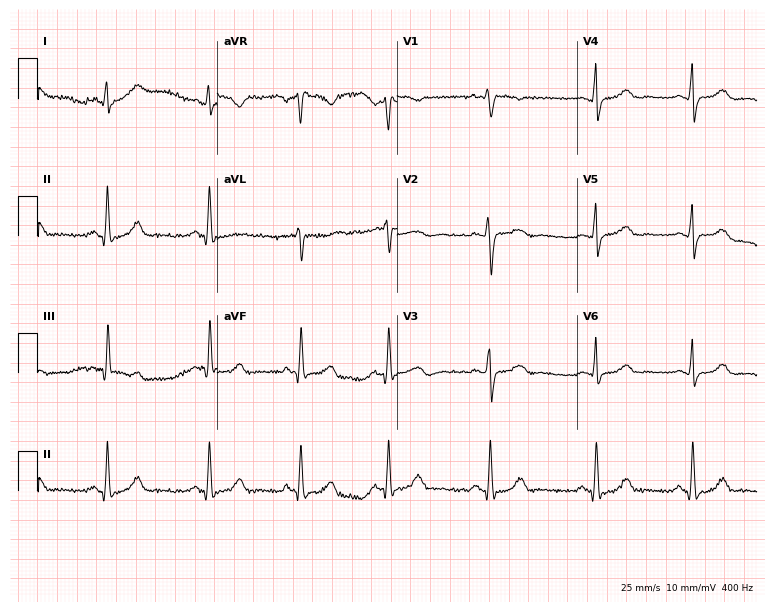
Standard 12-lead ECG recorded from a 30-year-old female patient (7.3-second recording at 400 Hz). None of these six findings is recorded: first-degree AV block, right bundle branch block, left bundle branch block, sinus bradycardia, atrial fibrillation, sinus tachycardia. Findings outside these six are not listed.